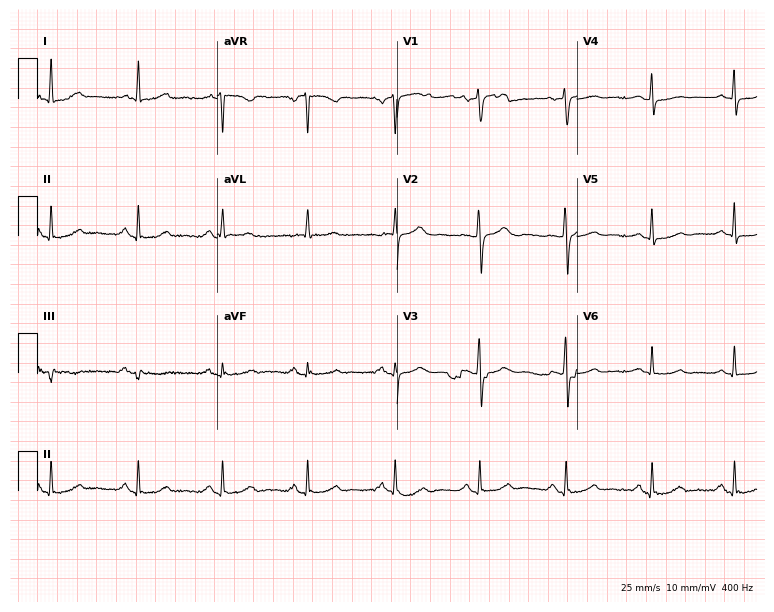
ECG — a female patient, 63 years old. Labelled as a normal ECG.